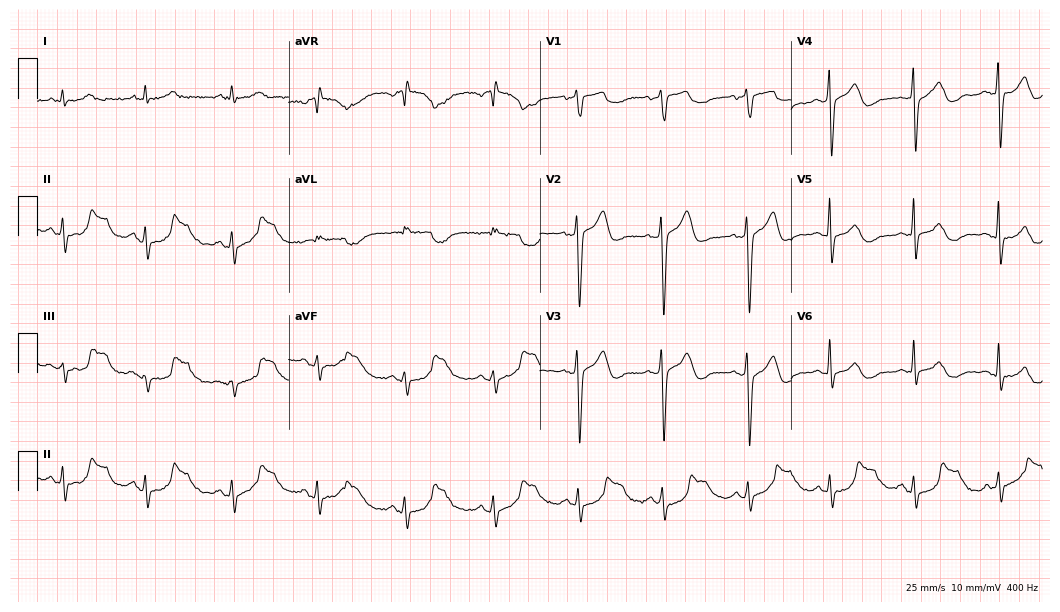
12-lead ECG from a 65-year-old male patient. Screened for six findings — first-degree AV block, right bundle branch block, left bundle branch block, sinus bradycardia, atrial fibrillation, sinus tachycardia — none is recorded. Only these six findings were labelled.